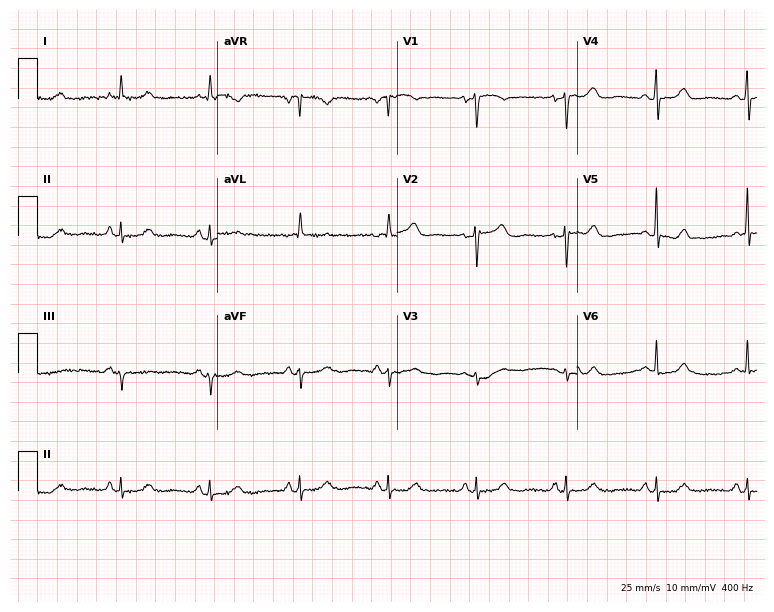
Resting 12-lead electrocardiogram (7.3-second recording at 400 Hz). Patient: a female, 71 years old. Read as a normal ECG.